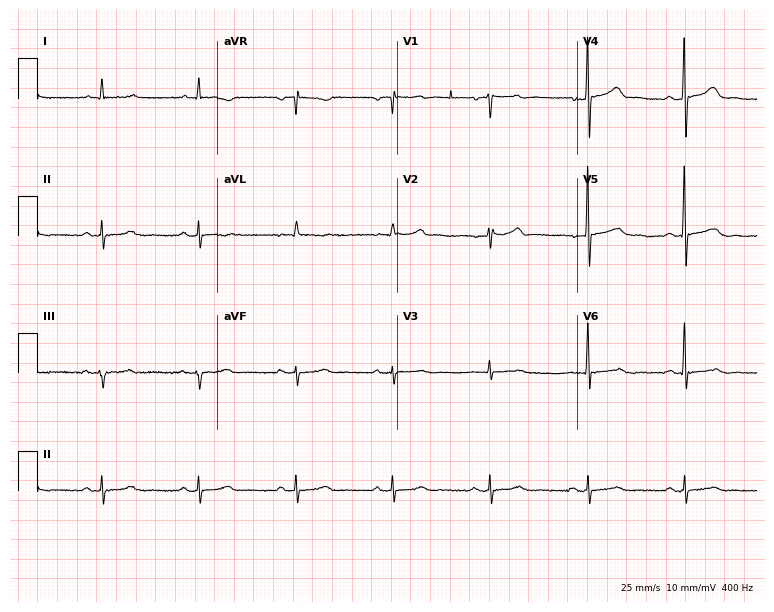
Standard 12-lead ECG recorded from a male patient, 60 years old. Read as a normal ECG.